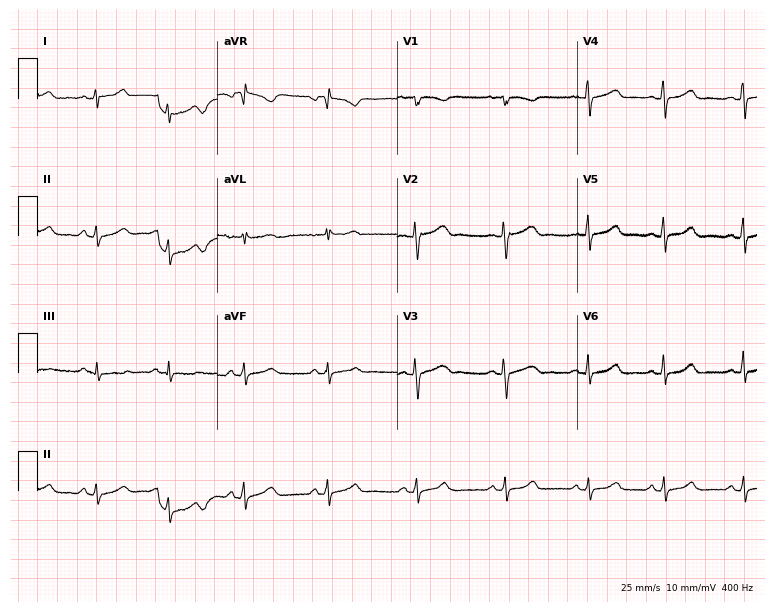
Electrocardiogram (7.3-second recording at 400 Hz), a 26-year-old female. Overall reading on record: normal ECG.